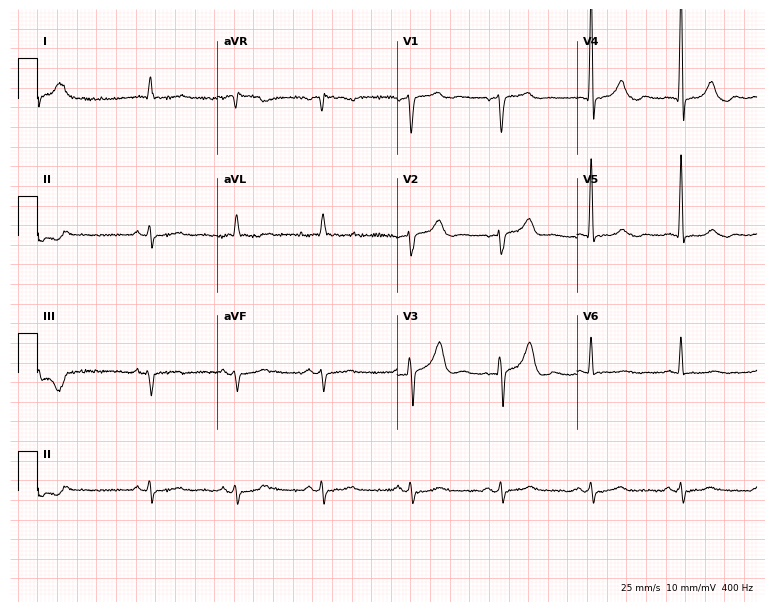
Electrocardiogram, a male, 79 years old. Of the six screened findings (first-degree AV block, right bundle branch block (RBBB), left bundle branch block (LBBB), sinus bradycardia, atrial fibrillation (AF), sinus tachycardia), none is recorded. Findings outside these six are not listed.